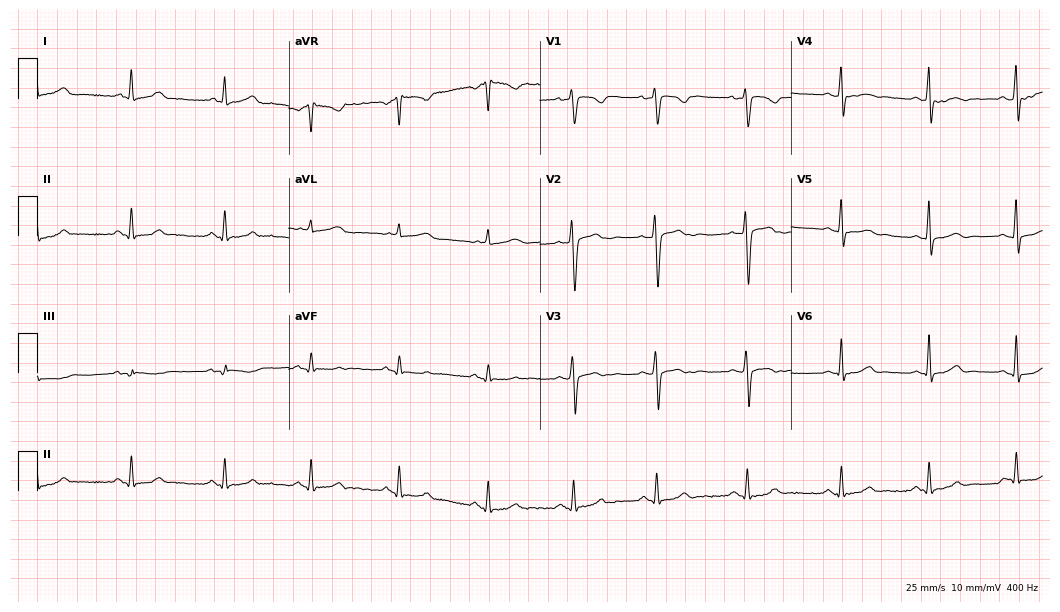
12-lead ECG from a 28-year-old female patient. No first-degree AV block, right bundle branch block, left bundle branch block, sinus bradycardia, atrial fibrillation or sinus tachycardia recorded for this tracing. Findings outside these six are not listed.